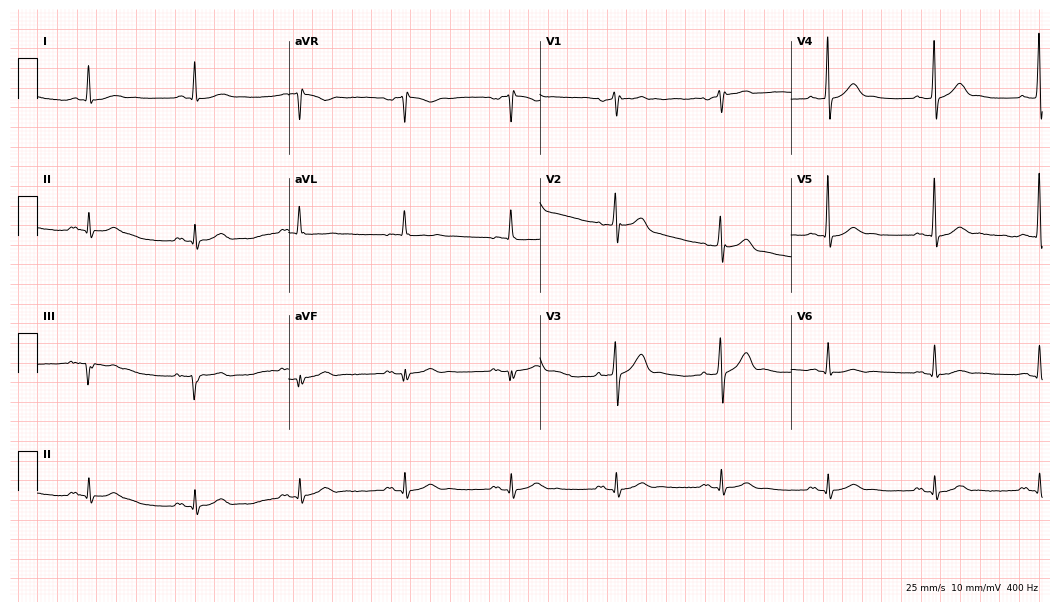
Electrocardiogram (10.2-second recording at 400 Hz), a man, 67 years old. Overall reading on record: normal ECG.